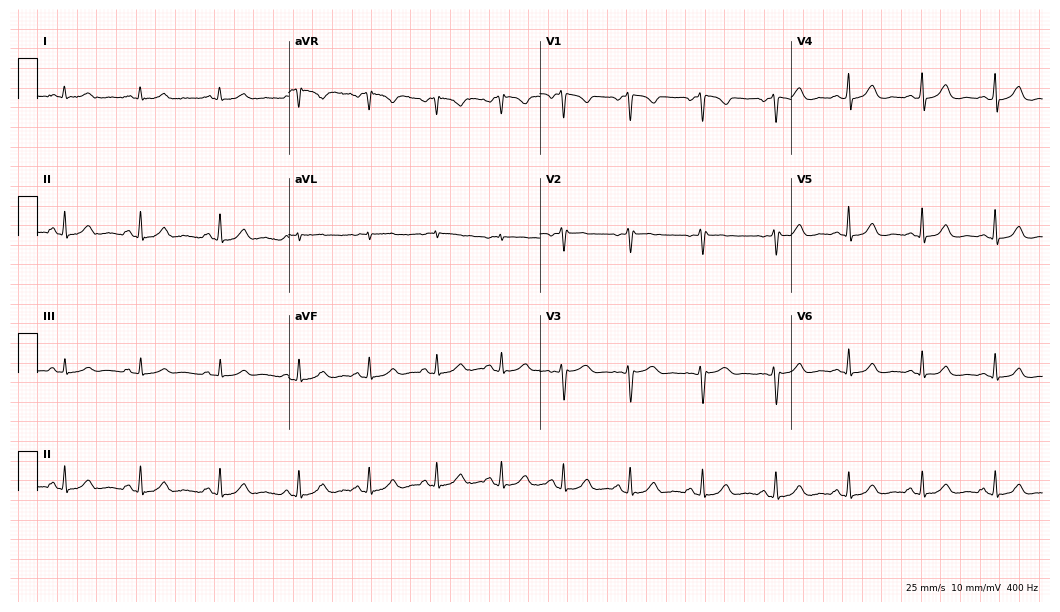
12-lead ECG from a woman, 30 years old (10.2-second recording at 400 Hz). Recorded interpretation: within normal limits.